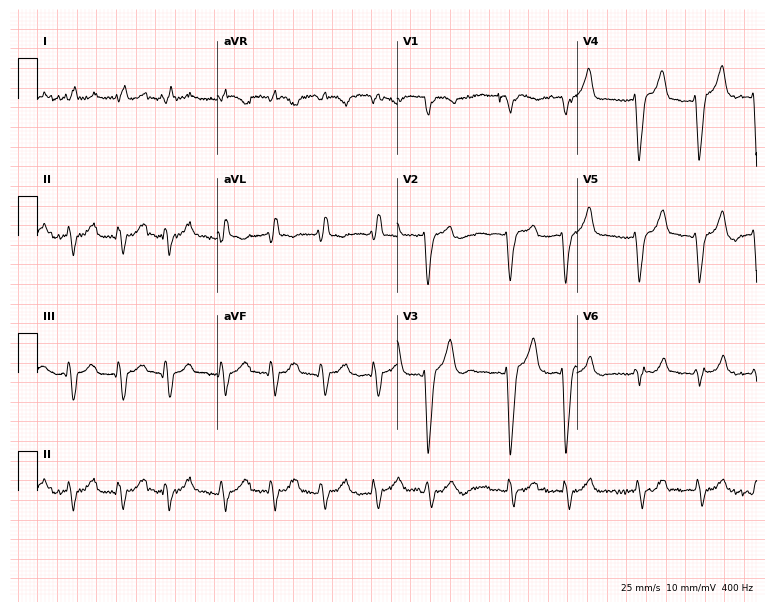
12-lead ECG (7.3-second recording at 400 Hz) from a man, 72 years old. Findings include atrial fibrillation.